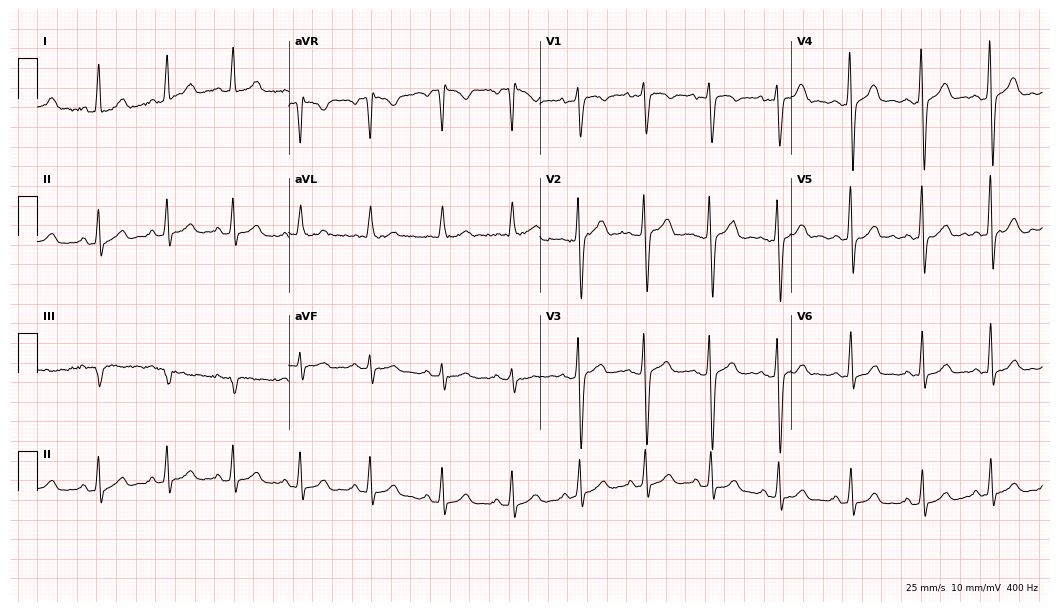
Resting 12-lead electrocardiogram (10.2-second recording at 400 Hz). Patient: a female, 29 years old. Read as a normal ECG.